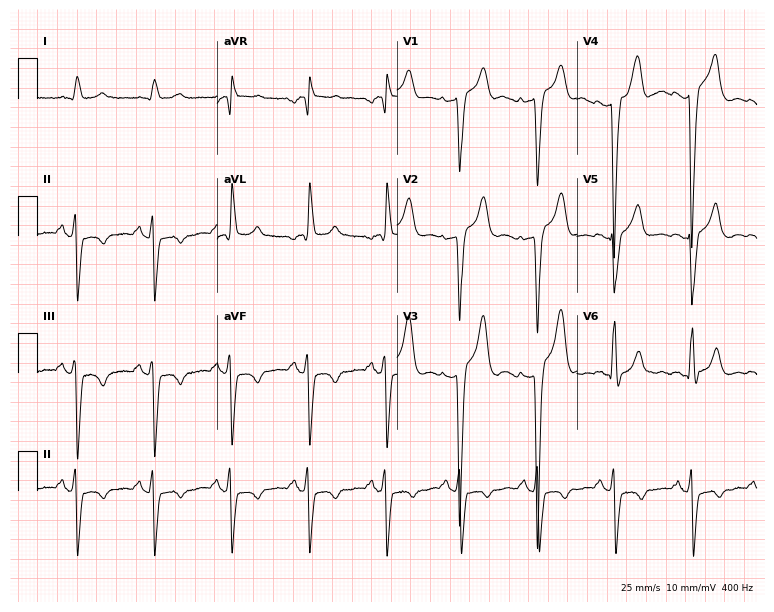
12-lead ECG from a man, 85 years old (7.3-second recording at 400 Hz). Shows left bundle branch block.